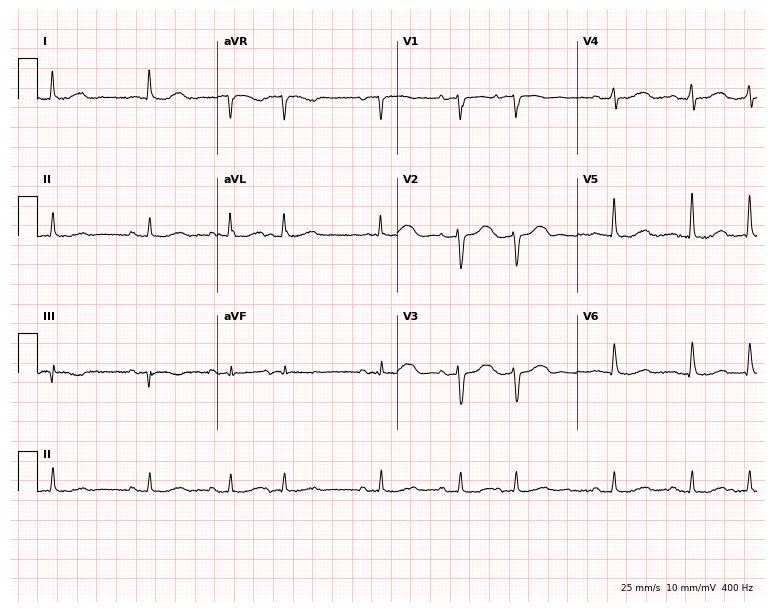
12-lead ECG from a 77-year-old female patient. No first-degree AV block, right bundle branch block (RBBB), left bundle branch block (LBBB), sinus bradycardia, atrial fibrillation (AF) or sinus tachycardia recorded for this tracing. Only these six findings were labelled.